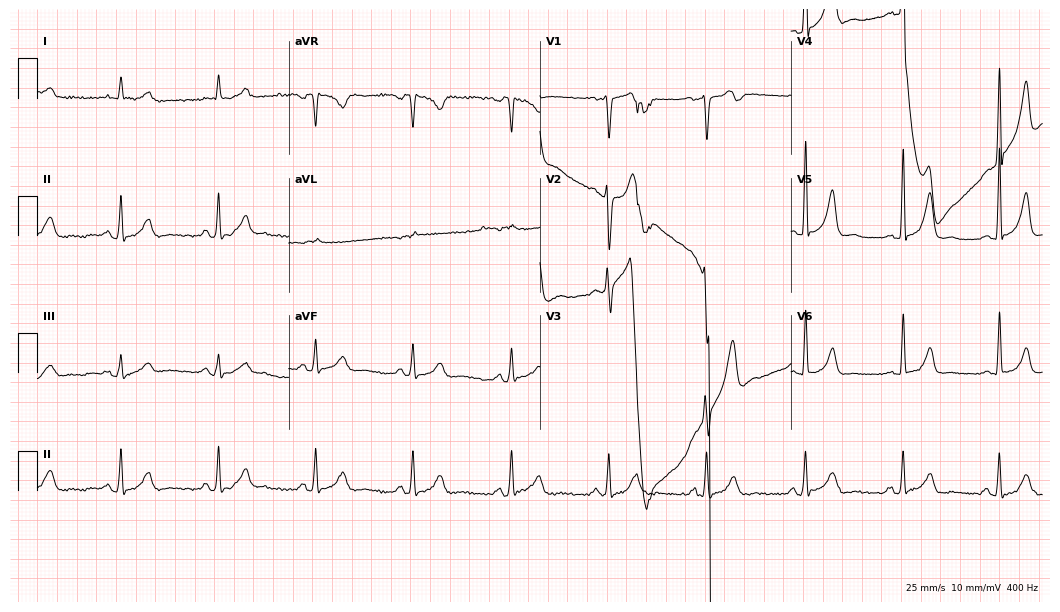
12-lead ECG (10.2-second recording at 400 Hz) from a male patient, 50 years old. Screened for six findings — first-degree AV block, right bundle branch block, left bundle branch block, sinus bradycardia, atrial fibrillation, sinus tachycardia — none is recorded. Only these six findings were labelled.